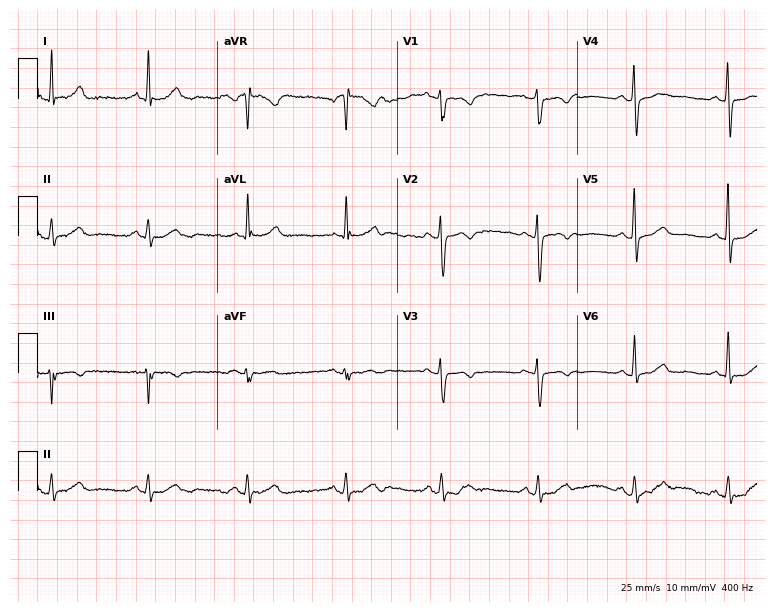
Electrocardiogram (7.3-second recording at 400 Hz), a 62-year-old female. Of the six screened findings (first-degree AV block, right bundle branch block, left bundle branch block, sinus bradycardia, atrial fibrillation, sinus tachycardia), none is recorded.